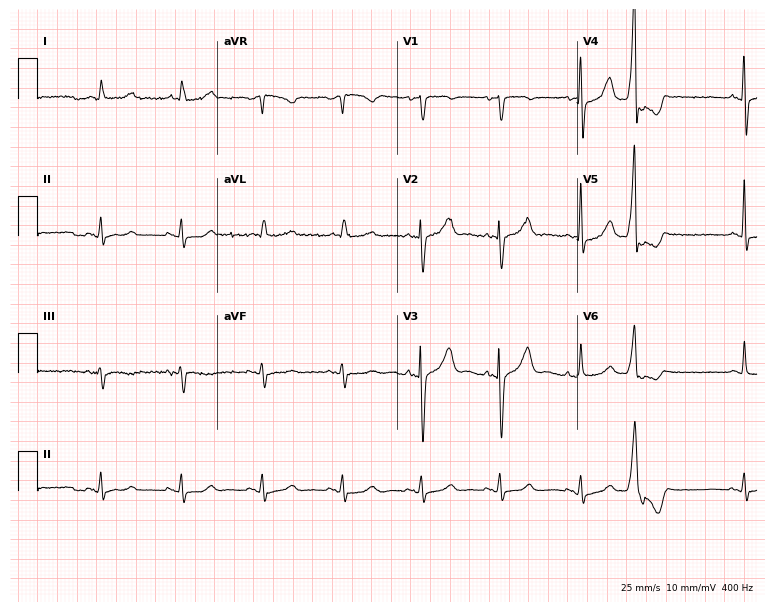
Resting 12-lead electrocardiogram. Patient: a 67-year-old female. Read as a normal ECG.